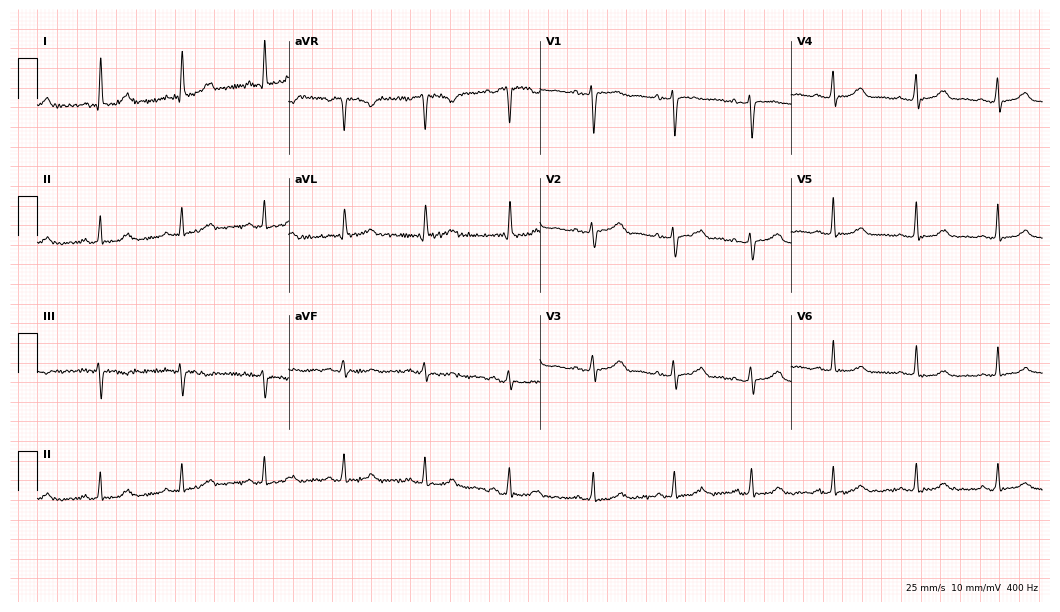
Resting 12-lead electrocardiogram (10.2-second recording at 400 Hz). Patient: a 44-year-old woman. Read as a normal ECG.